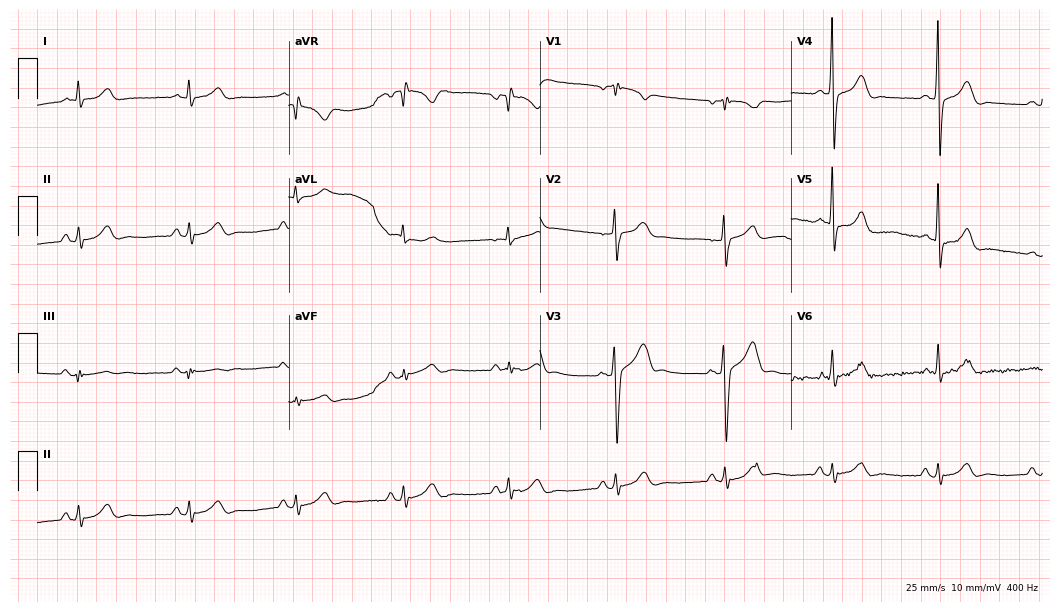
Resting 12-lead electrocardiogram (10.2-second recording at 400 Hz). Patient: a male, 29 years old. None of these six findings is recorded: first-degree AV block, right bundle branch block, left bundle branch block, sinus bradycardia, atrial fibrillation, sinus tachycardia.